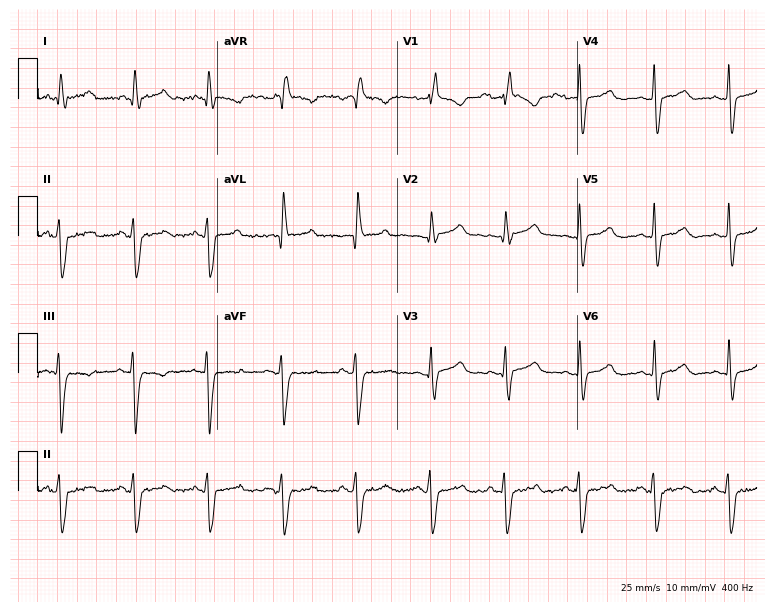
Resting 12-lead electrocardiogram (7.3-second recording at 400 Hz). Patient: a man, 35 years old. The tracing shows right bundle branch block.